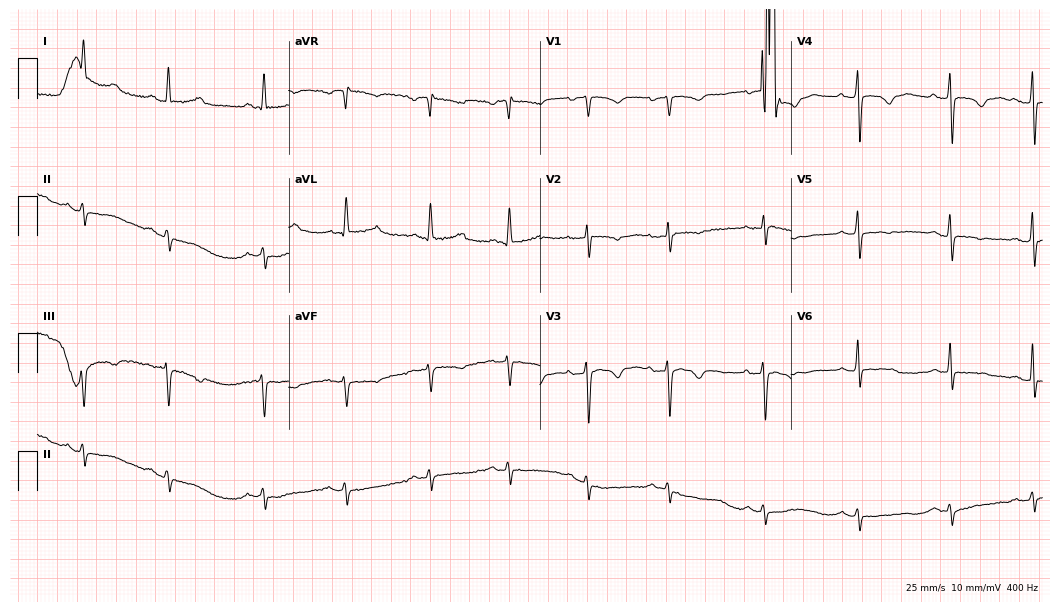
Resting 12-lead electrocardiogram (10.2-second recording at 400 Hz). Patient: a 70-year-old female. None of these six findings is recorded: first-degree AV block, right bundle branch block (RBBB), left bundle branch block (LBBB), sinus bradycardia, atrial fibrillation (AF), sinus tachycardia.